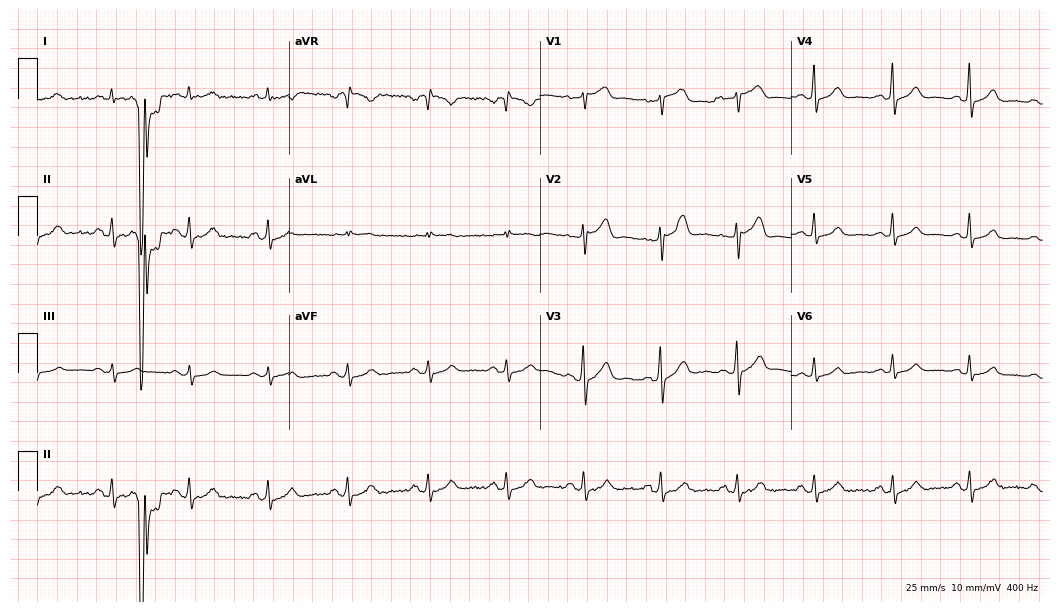
12-lead ECG from a female, 56 years old. Labelled as a normal ECG.